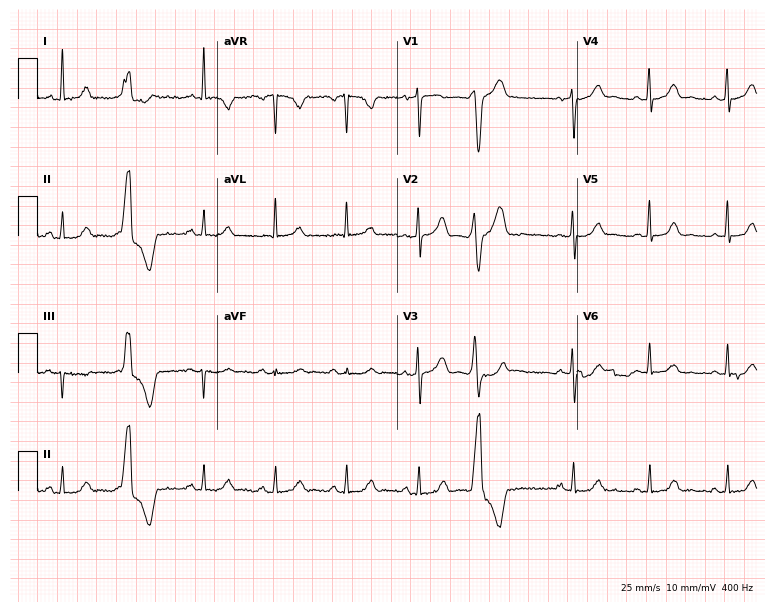
Standard 12-lead ECG recorded from a woman, 52 years old. None of these six findings is recorded: first-degree AV block, right bundle branch block (RBBB), left bundle branch block (LBBB), sinus bradycardia, atrial fibrillation (AF), sinus tachycardia. Only these six findings were labelled.